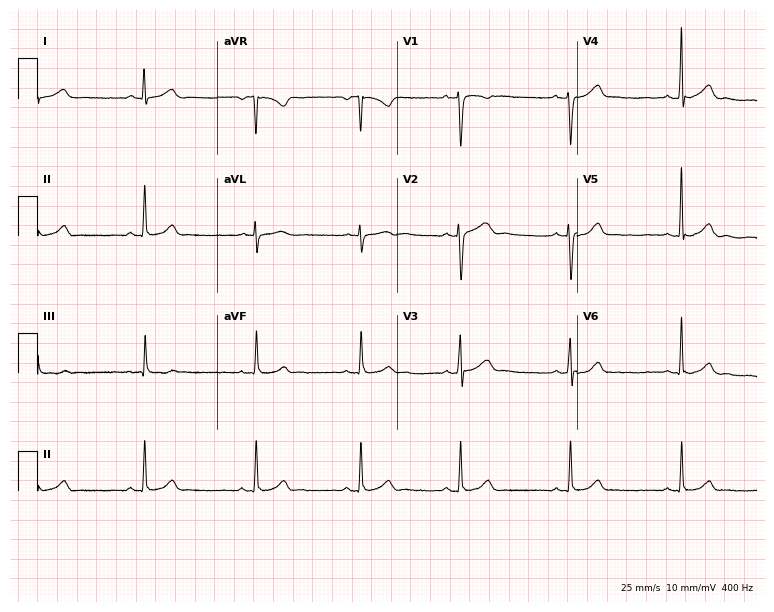
12-lead ECG from a woman, 32 years old (7.3-second recording at 400 Hz). No first-degree AV block, right bundle branch block, left bundle branch block, sinus bradycardia, atrial fibrillation or sinus tachycardia recorded for this tracing. Other findings, if any, are not listed.